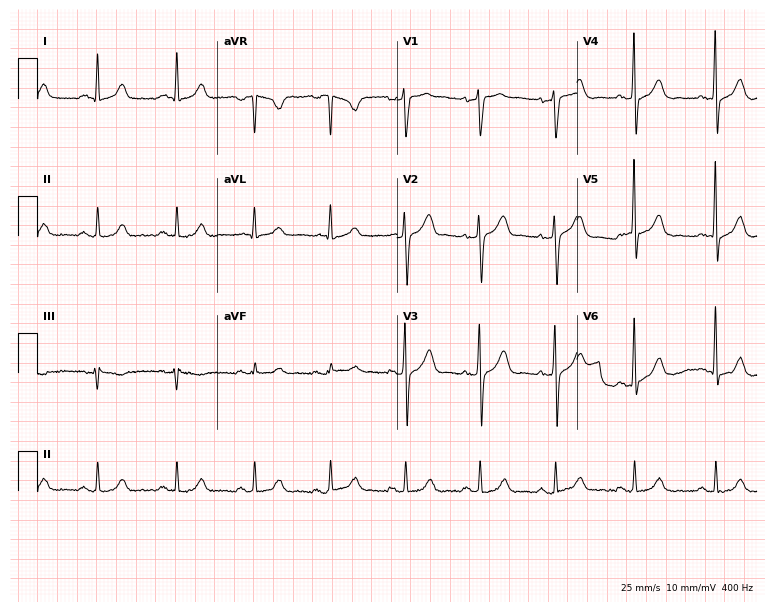
ECG — a 45-year-old female patient. Labelled as a normal ECG.